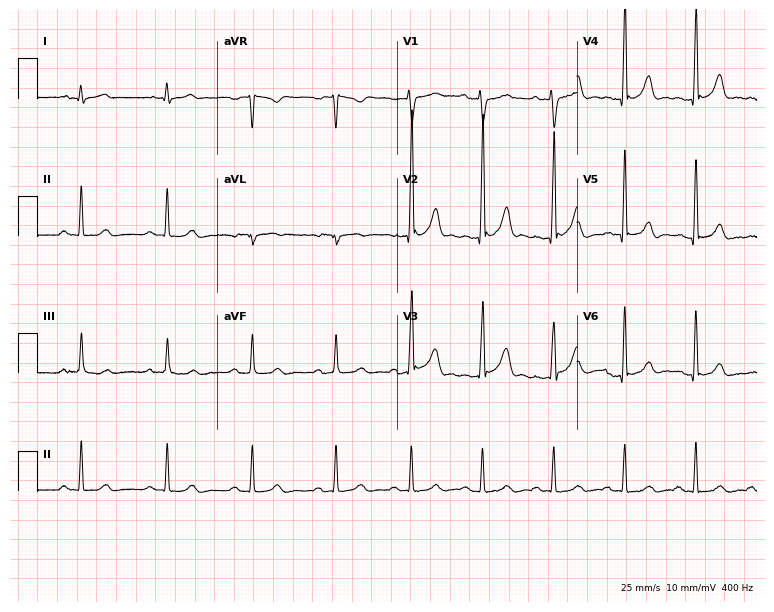
12-lead ECG (7.3-second recording at 400 Hz) from a male, 27 years old. Screened for six findings — first-degree AV block, right bundle branch block (RBBB), left bundle branch block (LBBB), sinus bradycardia, atrial fibrillation (AF), sinus tachycardia — none is recorded. Other findings, if any, are not listed.